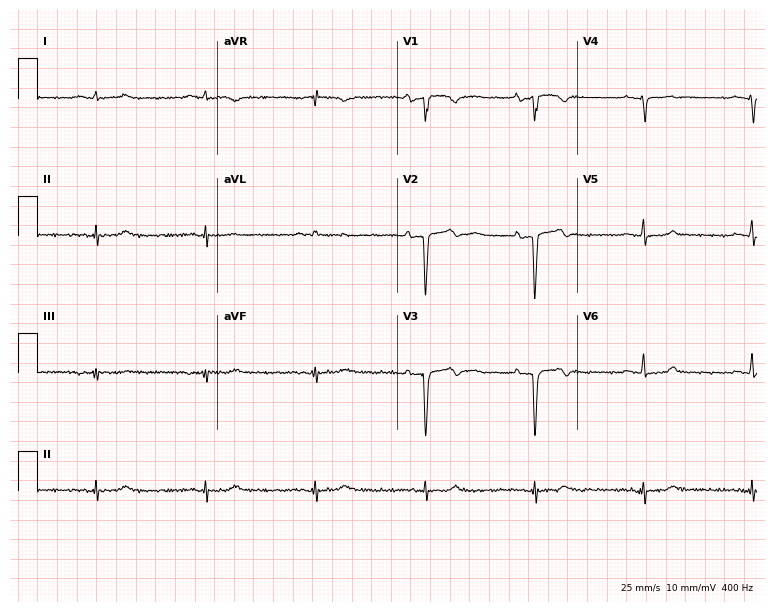
Electrocardiogram (7.3-second recording at 400 Hz), a 77-year-old woman. Of the six screened findings (first-degree AV block, right bundle branch block, left bundle branch block, sinus bradycardia, atrial fibrillation, sinus tachycardia), none is recorded. Other findings, if any, are not listed.